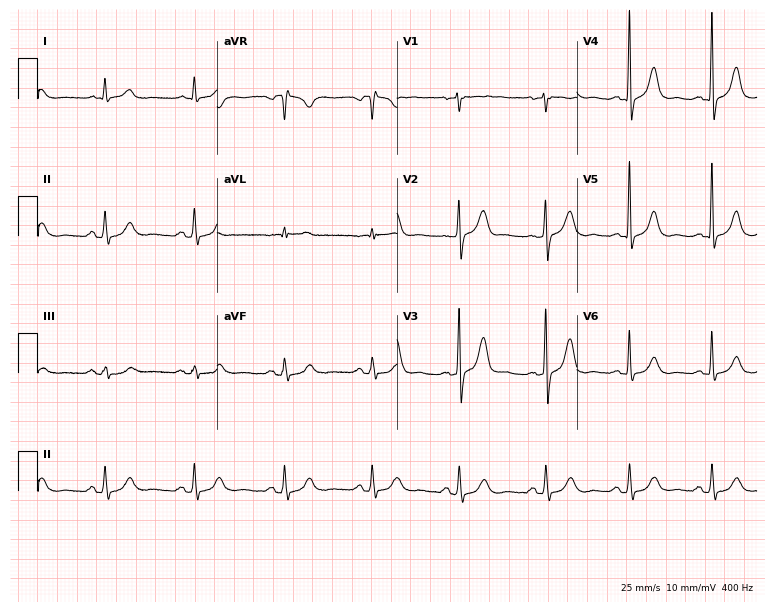
12-lead ECG from a male patient, 75 years old. Recorded interpretation: within normal limits.